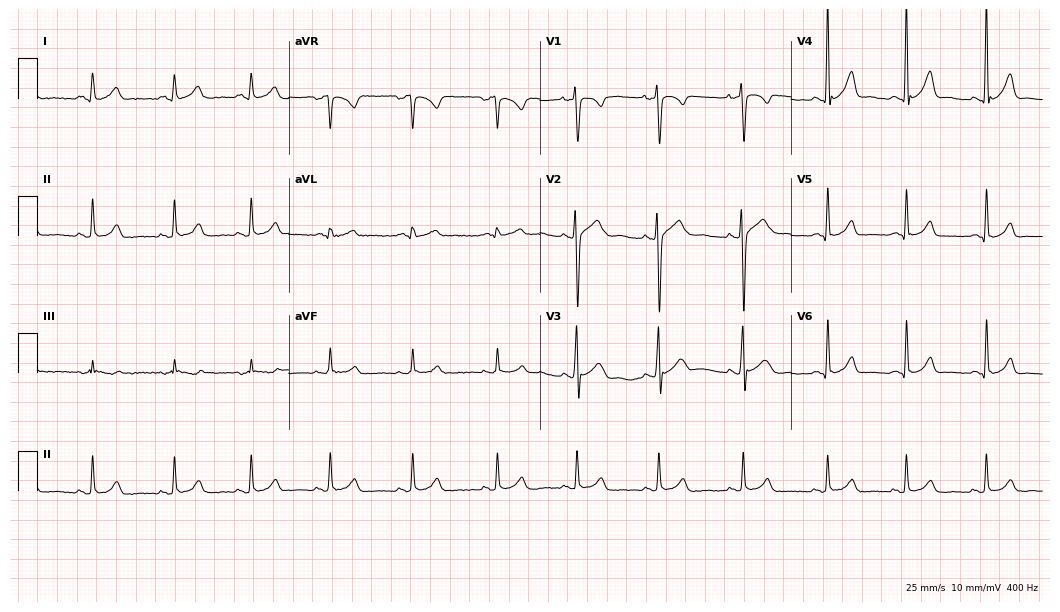
Electrocardiogram, a 26-year-old male. Overall reading on record: normal ECG.